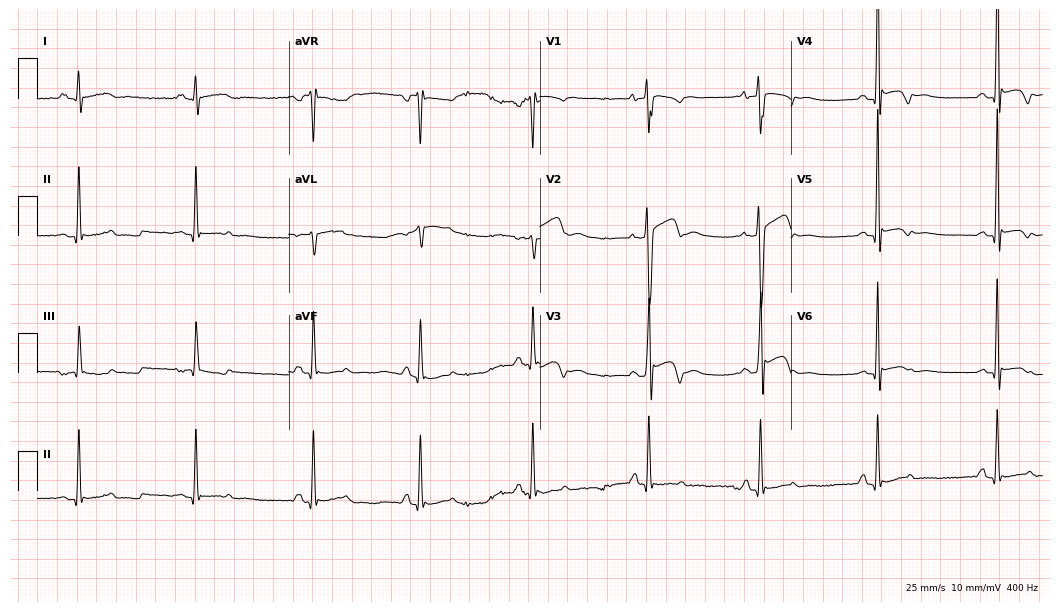
Electrocardiogram, a 32-year-old male. Of the six screened findings (first-degree AV block, right bundle branch block, left bundle branch block, sinus bradycardia, atrial fibrillation, sinus tachycardia), none is recorded. Only these six findings were labelled.